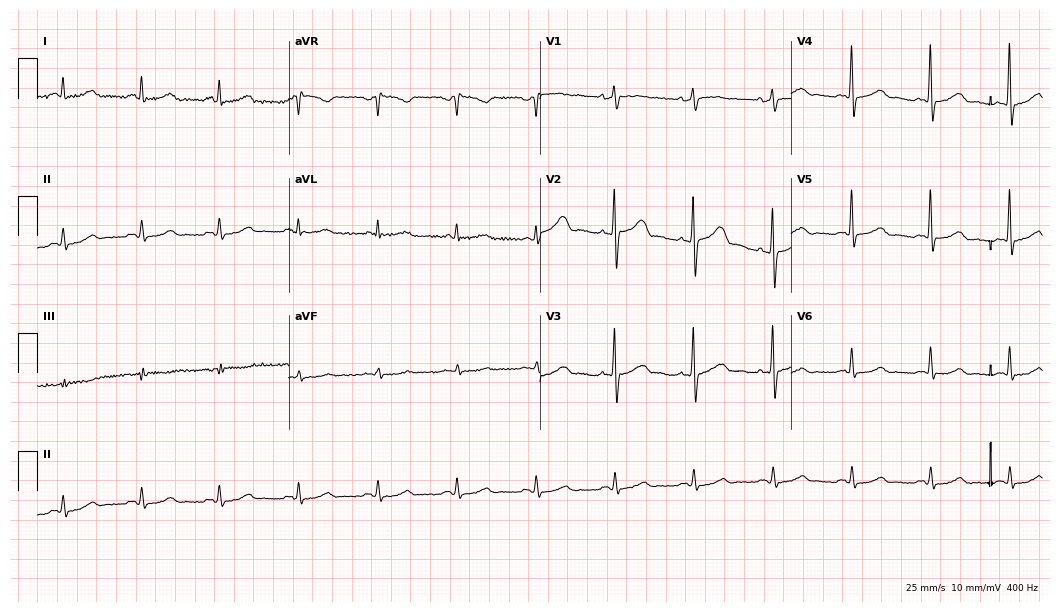
12-lead ECG (10.2-second recording at 400 Hz) from a 65-year-old woman. Labelled as a normal ECG.